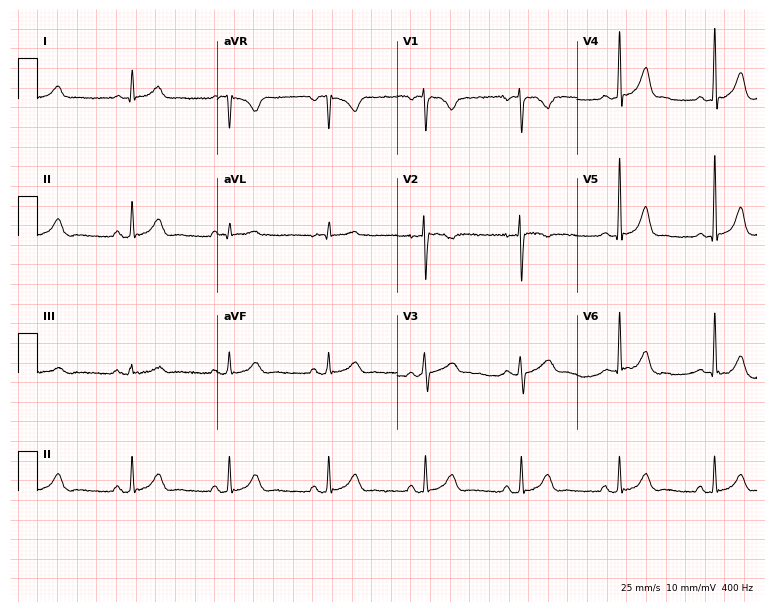
Electrocardiogram (7.3-second recording at 400 Hz), a 37-year-old man. Of the six screened findings (first-degree AV block, right bundle branch block (RBBB), left bundle branch block (LBBB), sinus bradycardia, atrial fibrillation (AF), sinus tachycardia), none is recorded. Other findings, if any, are not listed.